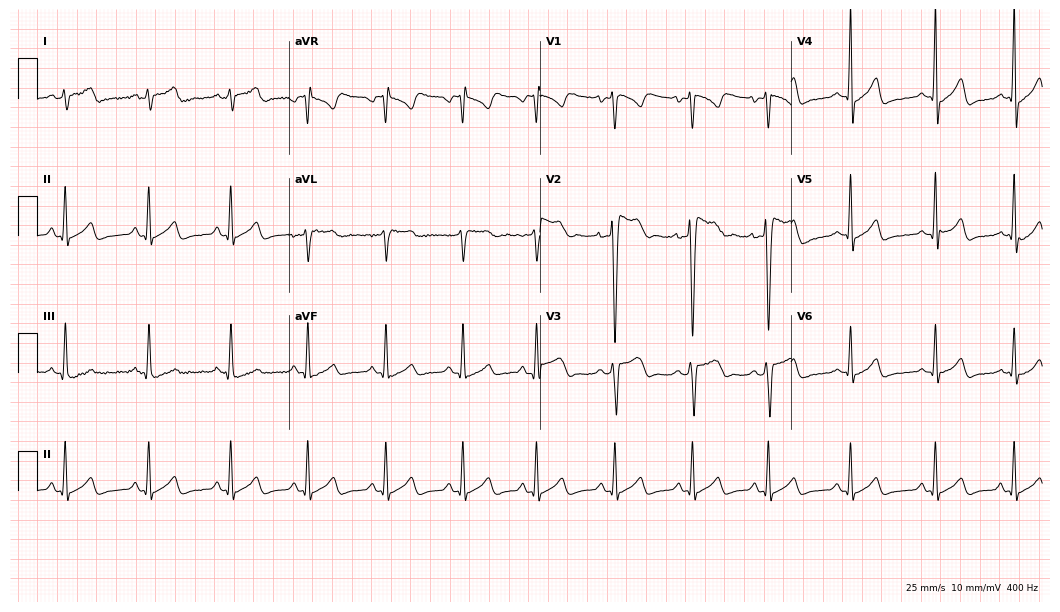
Resting 12-lead electrocardiogram (10.2-second recording at 400 Hz). Patient: an 18-year-old man. None of these six findings is recorded: first-degree AV block, right bundle branch block, left bundle branch block, sinus bradycardia, atrial fibrillation, sinus tachycardia.